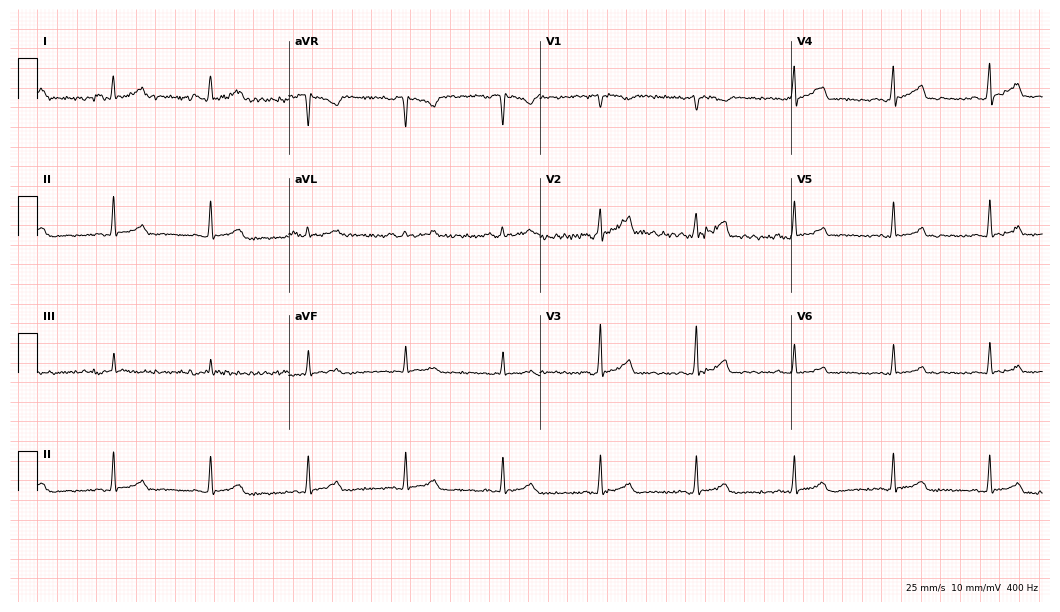
12-lead ECG from a woman, 44 years old (10.2-second recording at 400 Hz). Recorded interpretation: within normal limits.